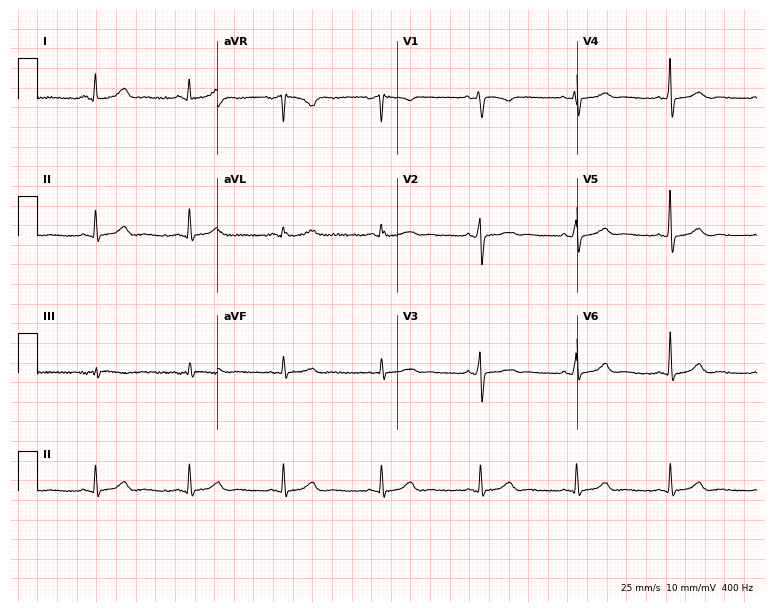
12-lead ECG from a 49-year-old female. Screened for six findings — first-degree AV block, right bundle branch block, left bundle branch block, sinus bradycardia, atrial fibrillation, sinus tachycardia — none is recorded.